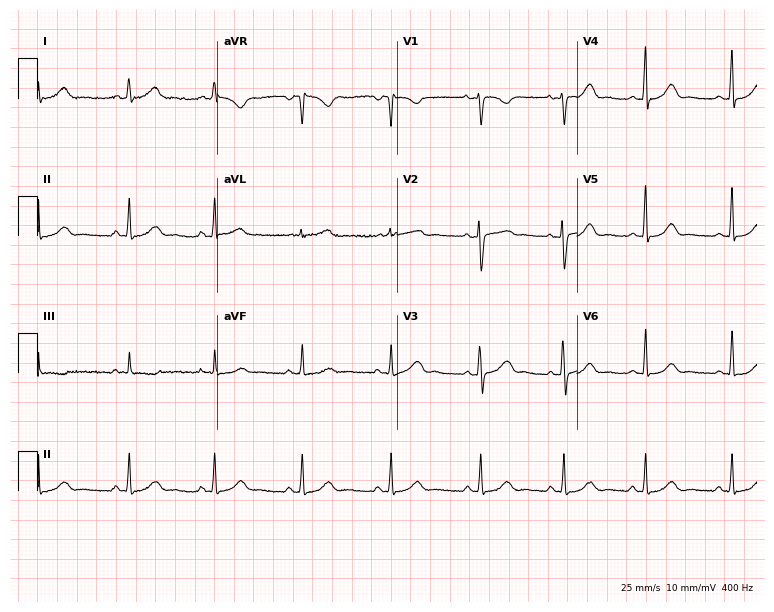
Resting 12-lead electrocardiogram (7.3-second recording at 400 Hz). Patient: a 39-year-old woman. Read as a normal ECG.